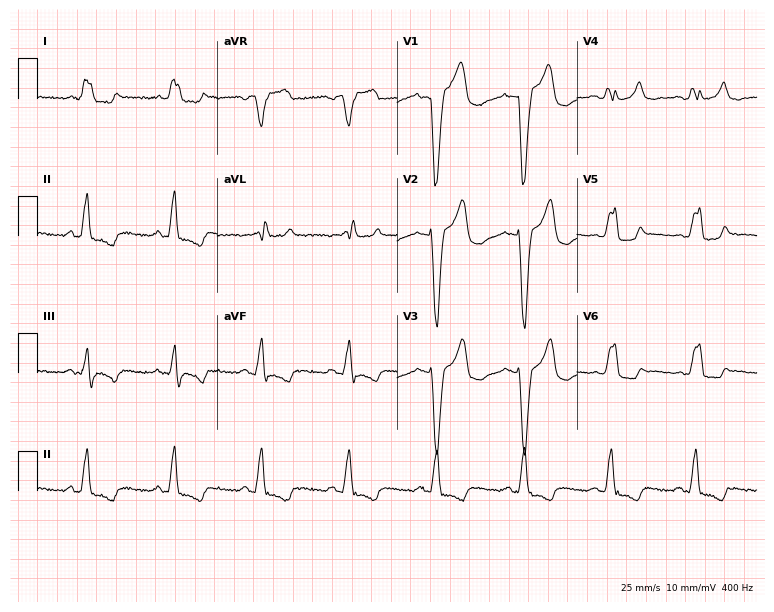
ECG (7.3-second recording at 400 Hz) — a male patient, 74 years old. Findings include left bundle branch block (LBBB).